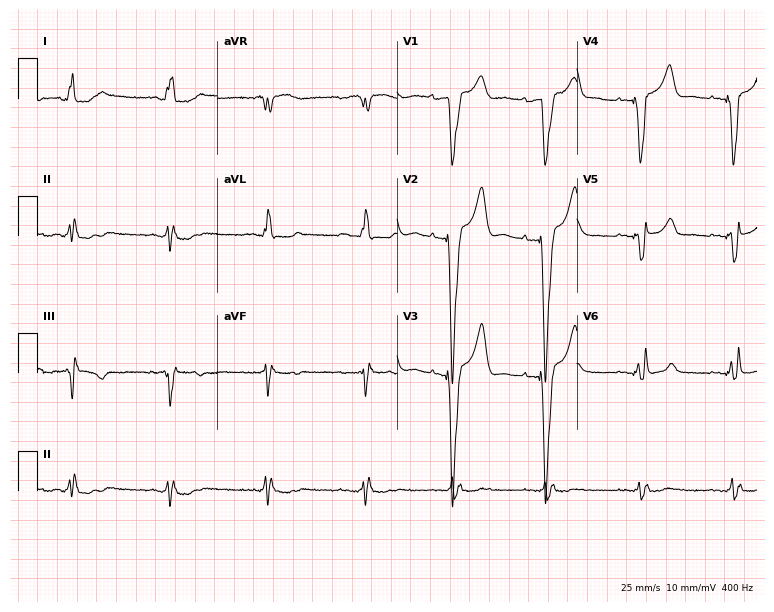
Standard 12-lead ECG recorded from a 54-year-old female patient. None of these six findings is recorded: first-degree AV block, right bundle branch block (RBBB), left bundle branch block (LBBB), sinus bradycardia, atrial fibrillation (AF), sinus tachycardia. Findings outside these six are not listed.